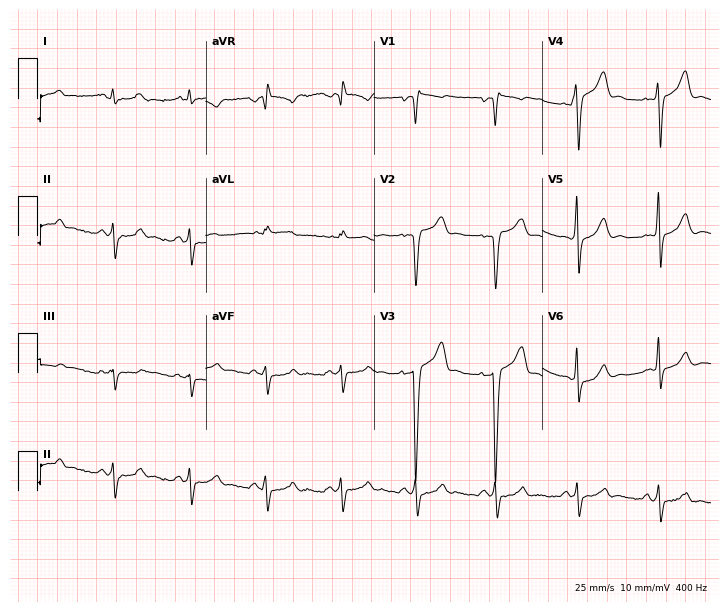
Resting 12-lead electrocardiogram (6.9-second recording at 400 Hz). Patient: a man, 48 years old. None of these six findings is recorded: first-degree AV block, right bundle branch block, left bundle branch block, sinus bradycardia, atrial fibrillation, sinus tachycardia.